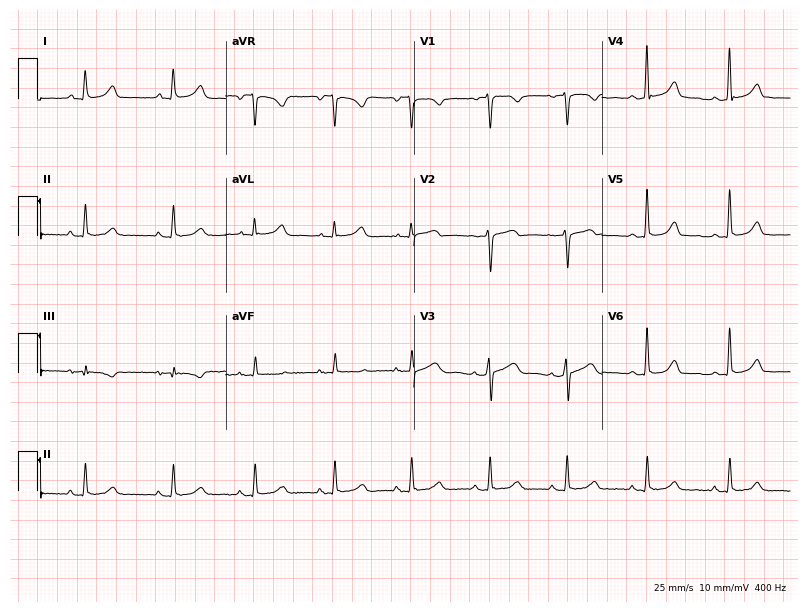
Standard 12-lead ECG recorded from a 48-year-old woman. Read as a normal ECG.